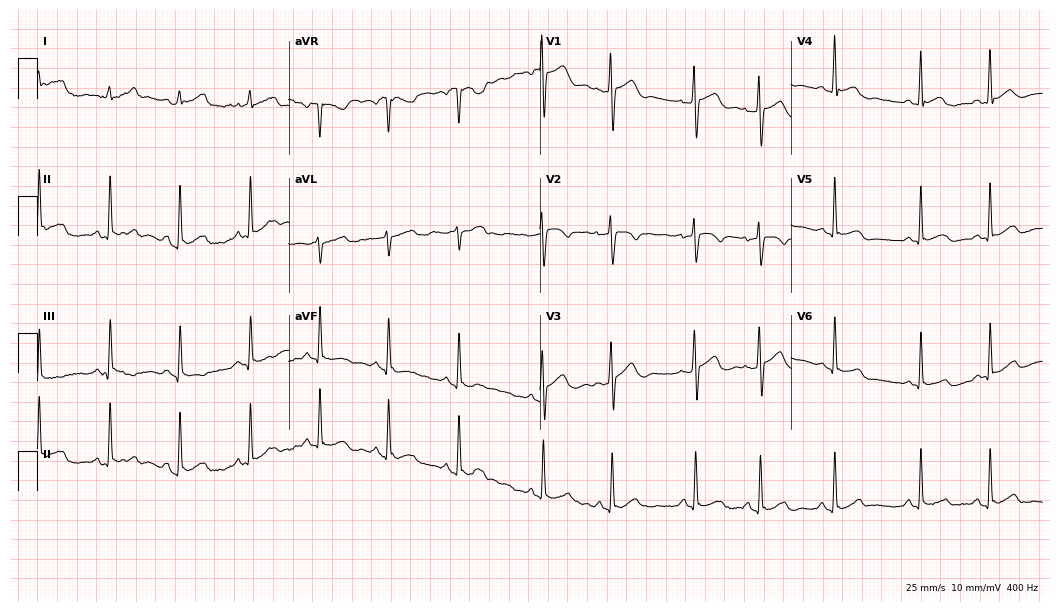
Resting 12-lead electrocardiogram (10.2-second recording at 400 Hz). Patient: a 32-year-old man. None of these six findings is recorded: first-degree AV block, right bundle branch block, left bundle branch block, sinus bradycardia, atrial fibrillation, sinus tachycardia. Only these six findings were labelled.